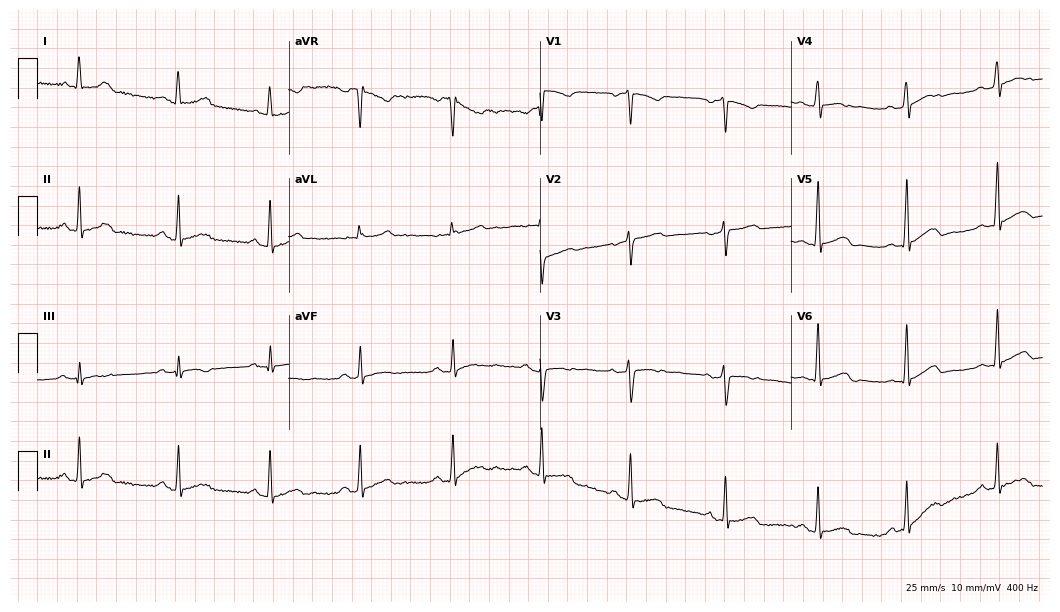
Standard 12-lead ECG recorded from a woman, 37 years old. Read as a normal ECG.